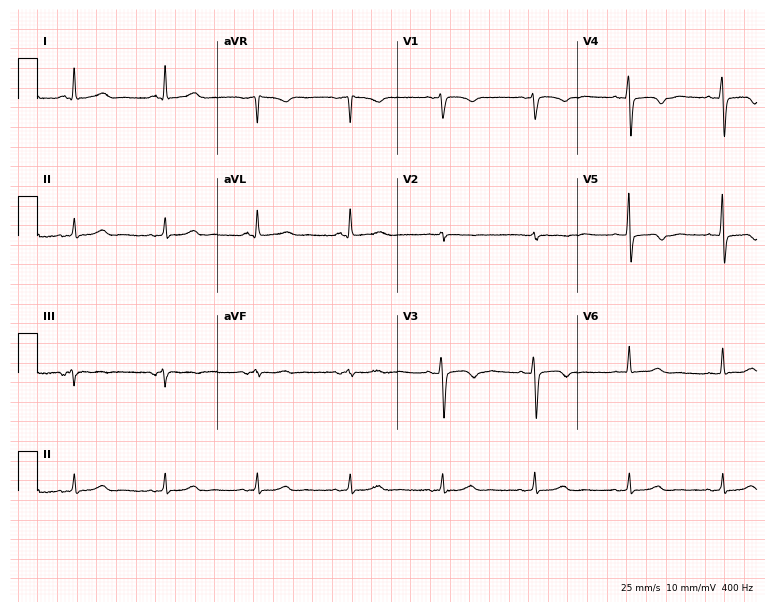
Standard 12-lead ECG recorded from a female patient, 62 years old (7.3-second recording at 400 Hz). None of these six findings is recorded: first-degree AV block, right bundle branch block (RBBB), left bundle branch block (LBBB), sinus bradycardia, atrial fibrillation (AF), sinus tachycardia. Other findings, if any, are not listed.